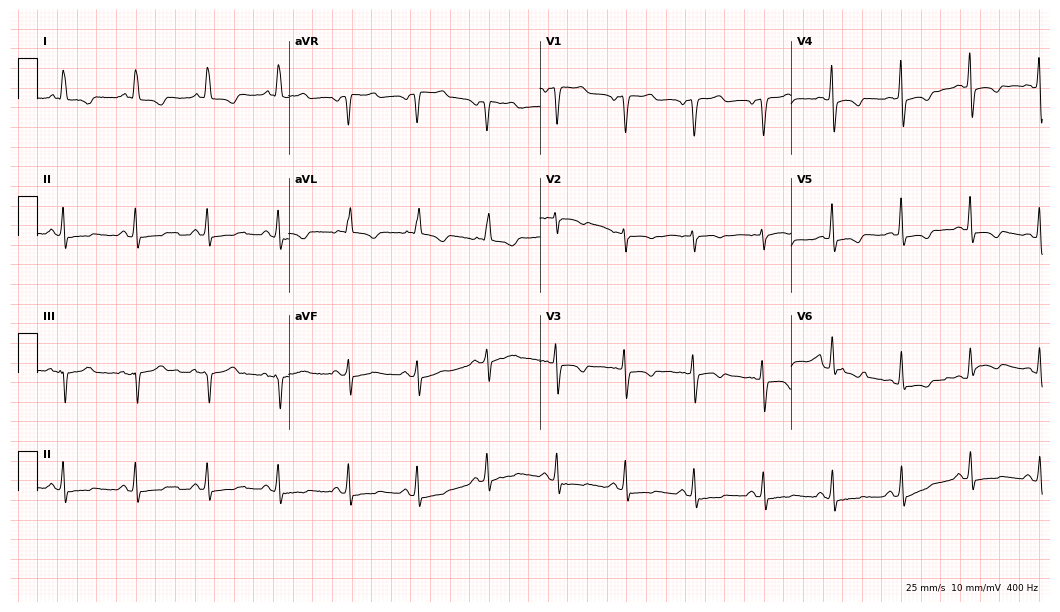
ECG (10.2-second recording at 400 Hz) — a female patient, 68 years old. Screened for six findings — first-degree AV block, right bundle branch block (RBBB), left bundle branch block (LBBB), sinus bradycardia, atrial fibrillation (AF), sinus tachycardia — none is recorded.